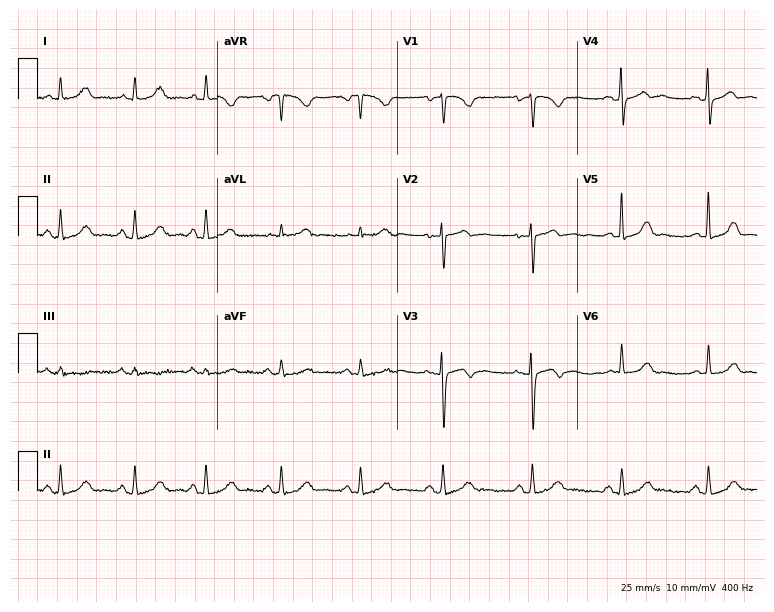
12-lead ECG from a female, 45 years old. Recorded interpretation: within normal limits.